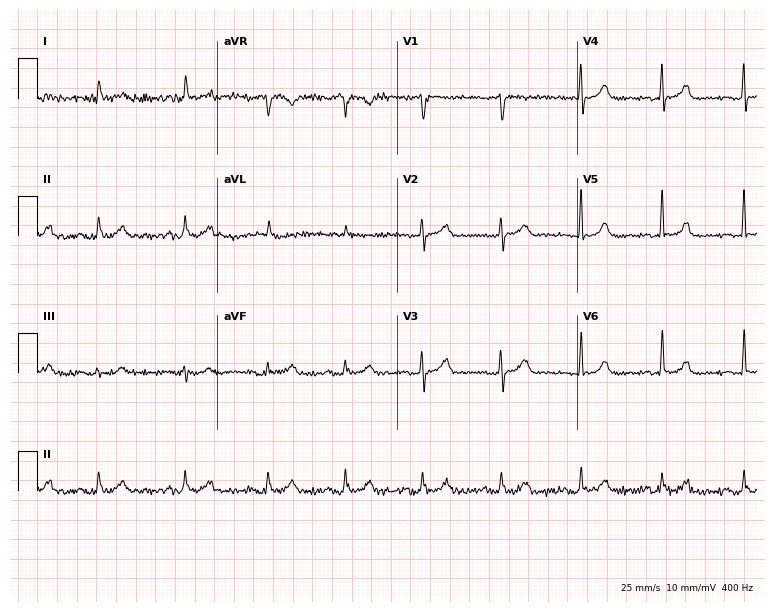
12-lead ECG from an 80-year-old man. Labelled as a normal ECG.